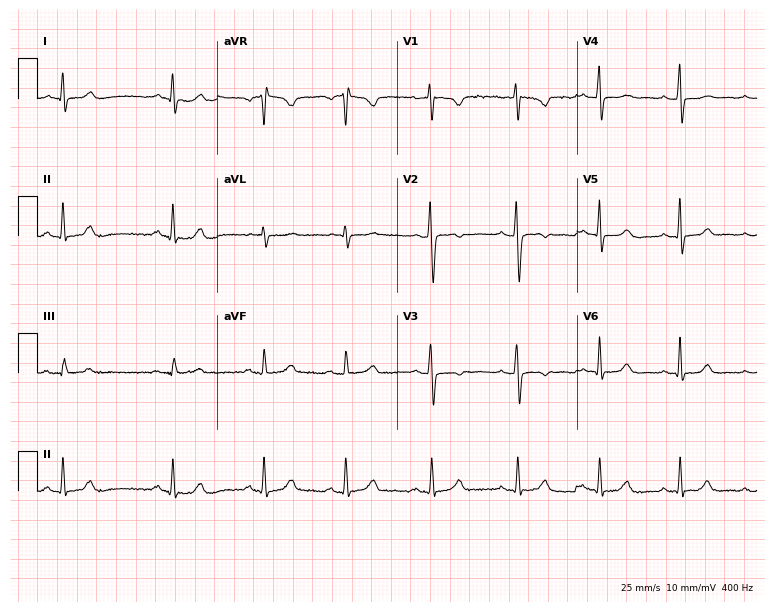
Resting 12-lead electrocardiogram (7.3-second recording at 400 Hz). Patient: a woman, 32 years old. Read as a normal ECG.